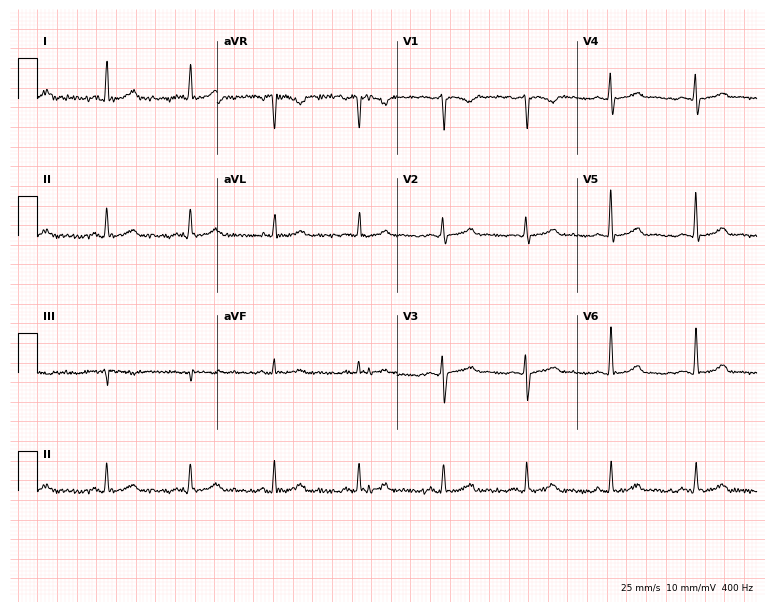
12-lead ECG from a 46-year-old female. Recorded interpretation: within normal limits.